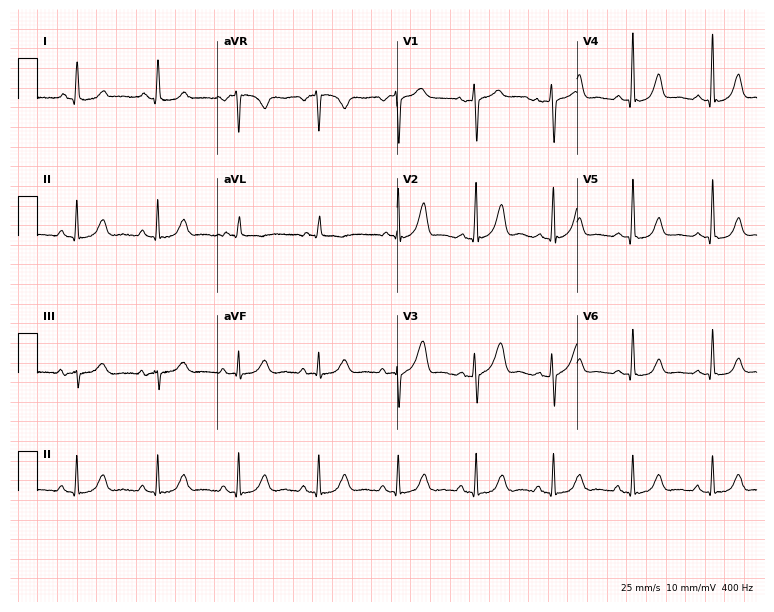
Resting 12-lead electrocardiogram (7.3-second recording at 400 Hz). Patient: a female, 54 years old. Read as a normal ECG.